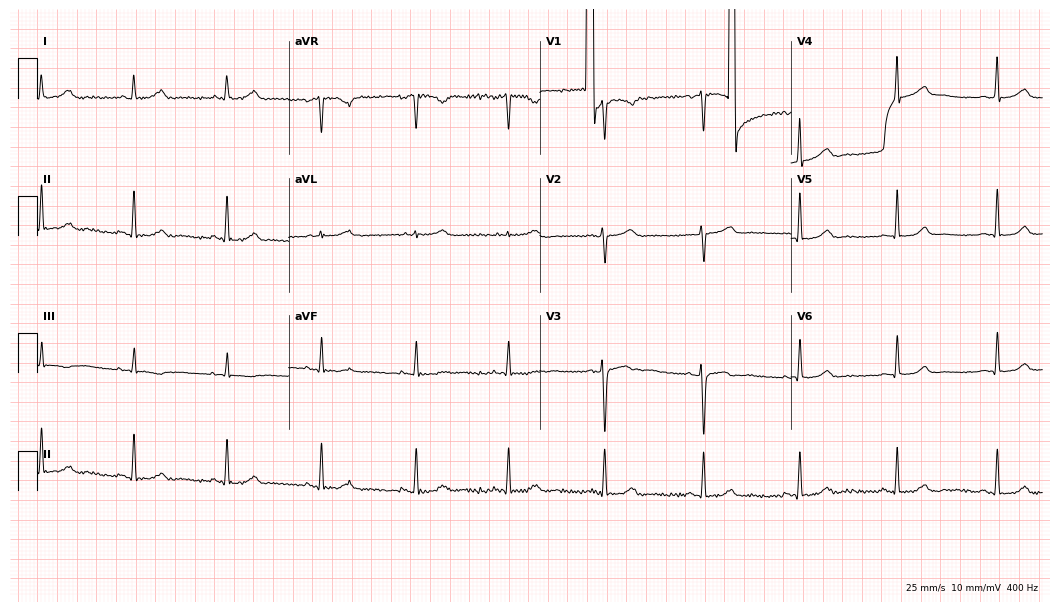
12-lead ECG from a female, 41 years old (10.2-second recording at 400 Hz). Recorded interpretation: within normal limits.